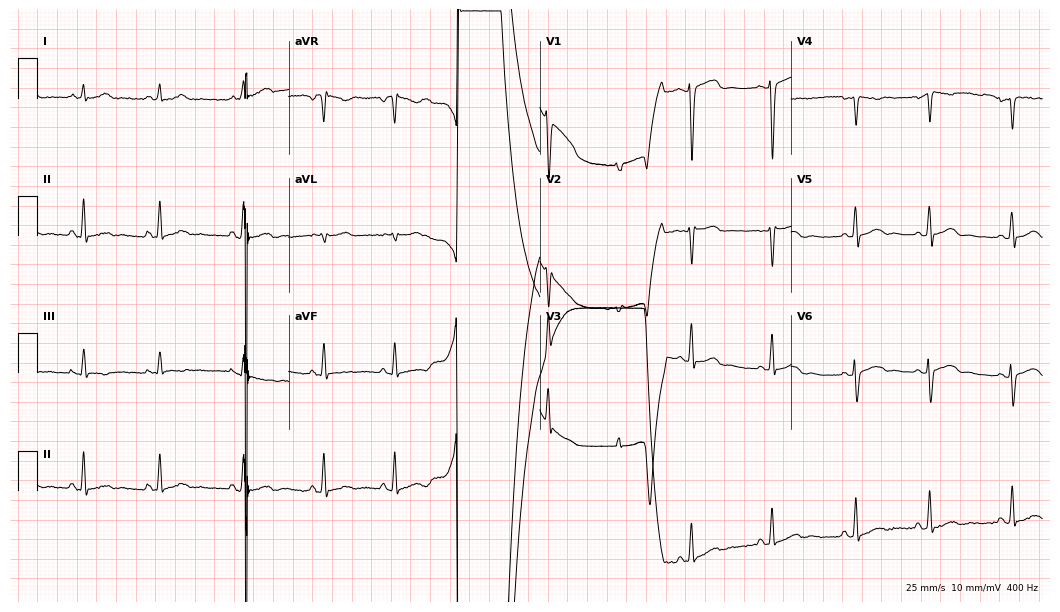
Electrocardiogram (10.2-second recording at 400 Hz), a female patient, 27 years old. Of the six screened findings (first-degree AV block, right bundle branch block, left bundle branch block, sinus bradycardia, atrial fibrillation, sinus tachycardia), none is recorded.